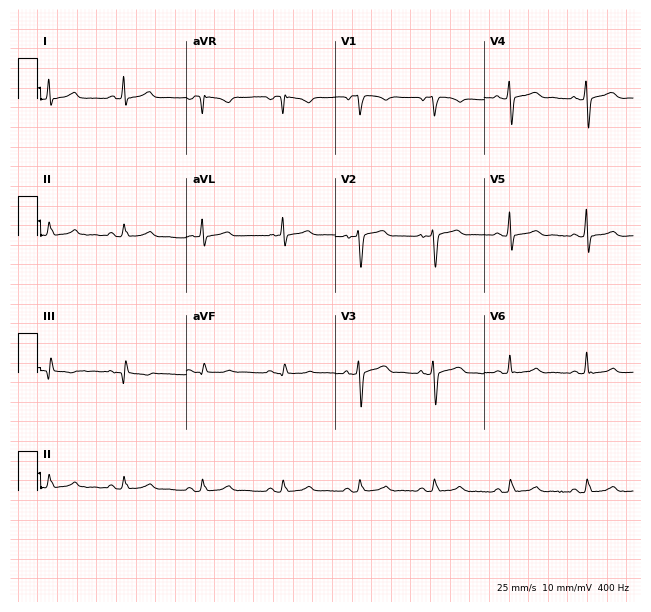
Standard 12-lead ECG recorded from a male, 47 years old (6.1-second recording at 400 Hz). Read as a normal ECG.